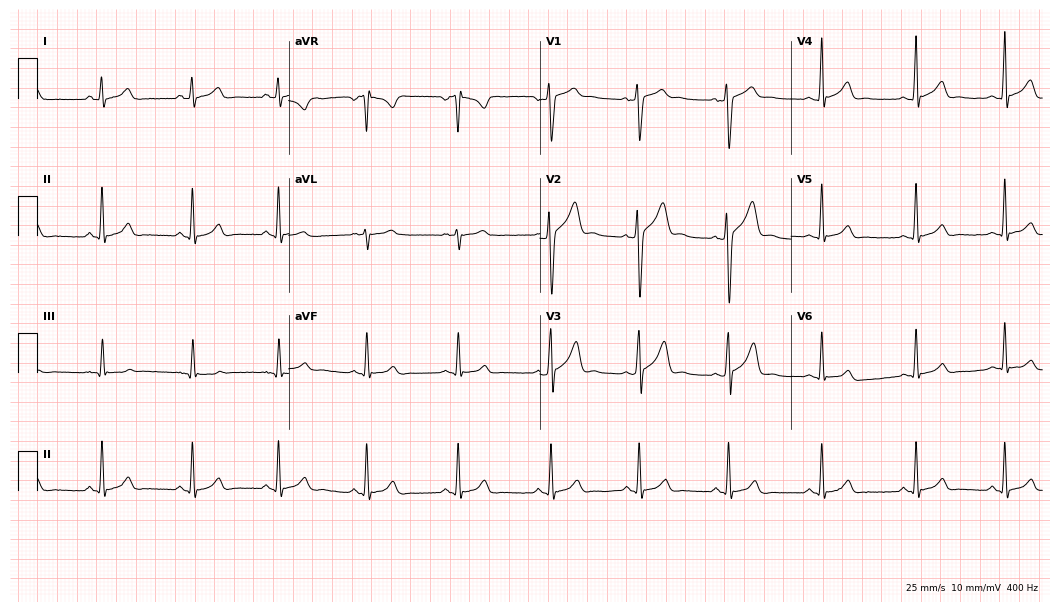
Standard 12-lead ECG recorded from a 38-year-old man (10.2-second recording at 400 Hz). Read as a normal ECG.